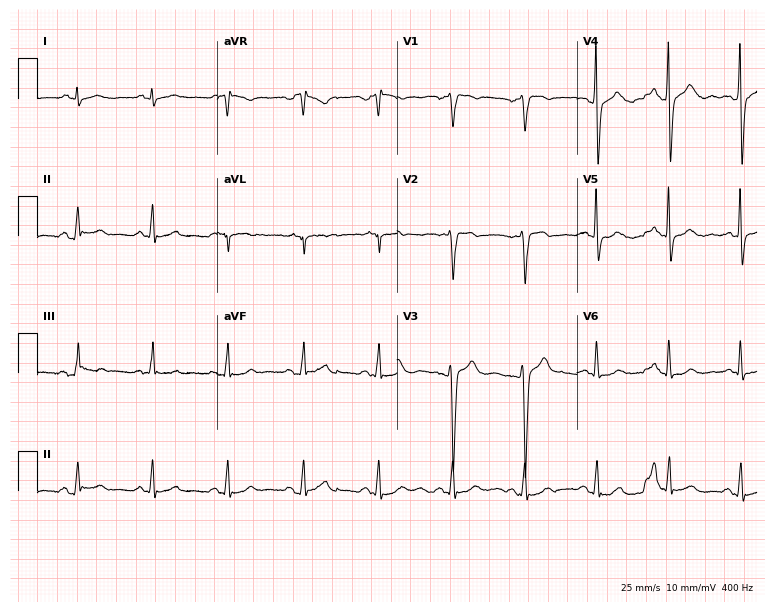
Standard 12-lead ECG recorded from a 44-year-old male patient. Read as a normal ECG.